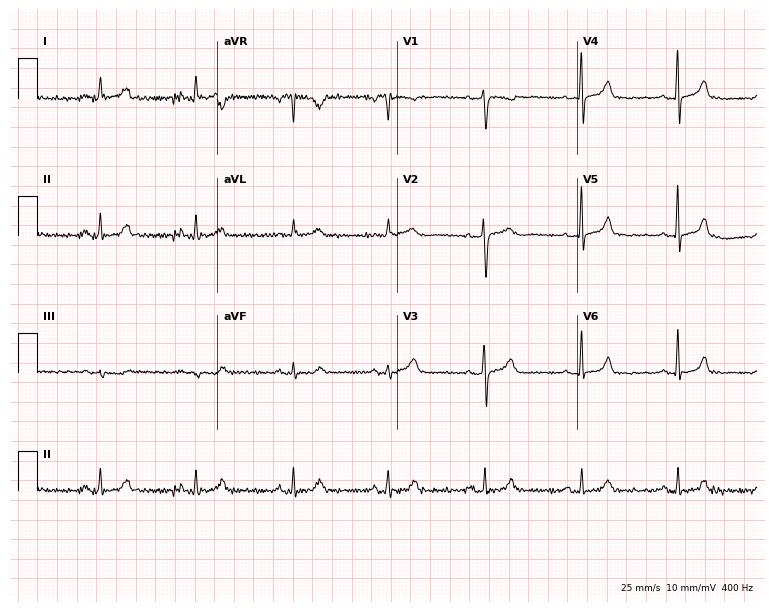
Electrocardiogram, a female, 55 years old. Of the six screened findings (first-degree AV block, right bundle branch block, left bundle branch block, sinus bradycardia, atrial fibrillation, sinus tachycardia), none is recorded. Other findings, if any, are not listed.